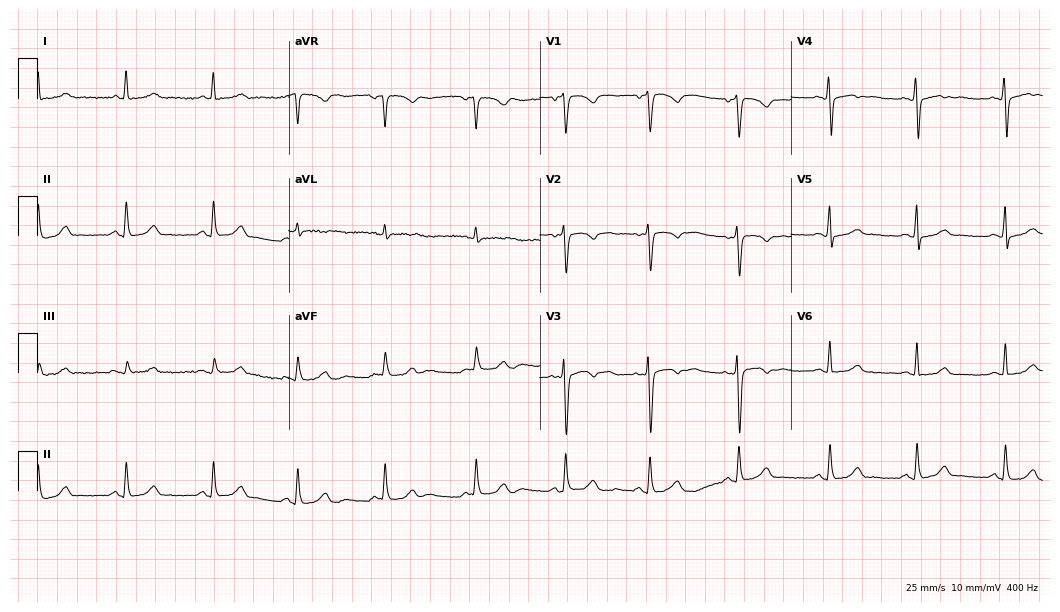
Standard 12-lead ECG recorded from a 28-year-old female patient. None of these six findings is recorded: first-degree AV block, right bundle branch block, left bundle branch block, sinus bradycardia, atrial fibrillation, sinus tachycardia.